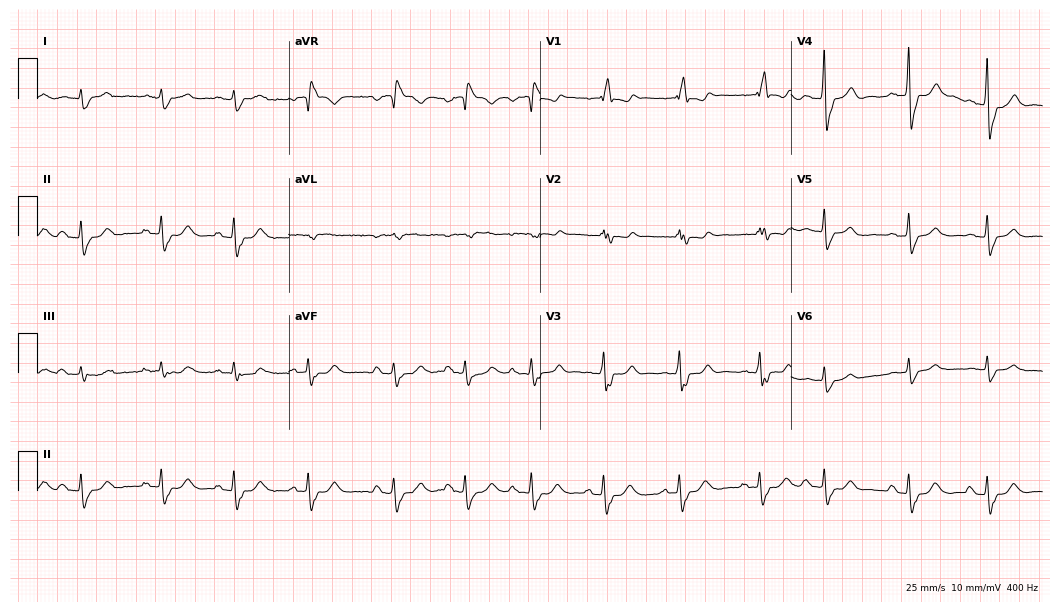
12-lead ECG from an 81-year-old male (10.2-second recording at 400 Hz). Shows right bundle branch block.